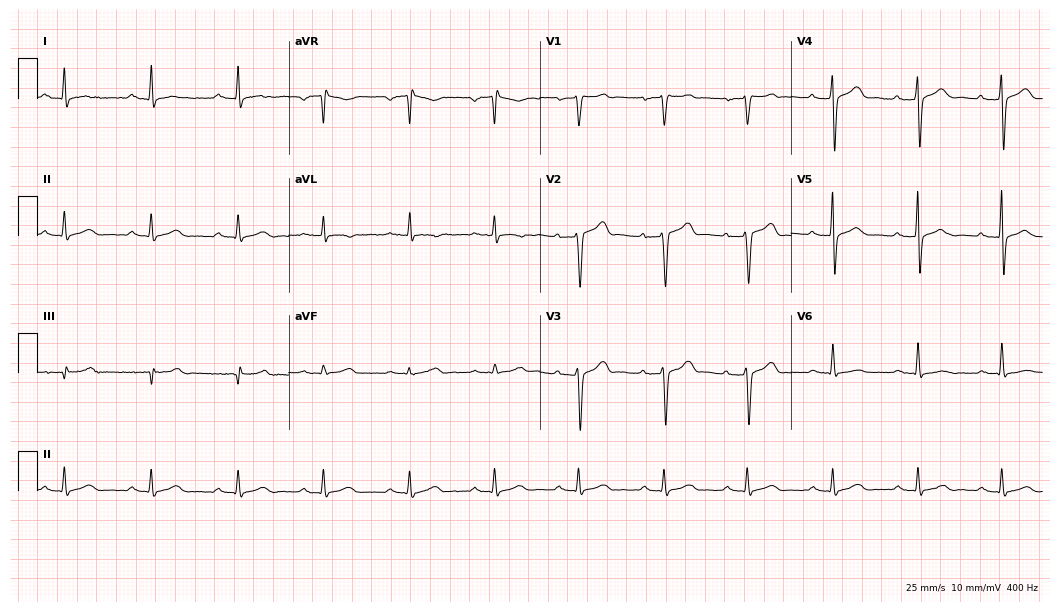
12-lead ECG from a male, 55 years old (10.2-second recording at 400 Hz). Recorded interpretation: within normal limits.